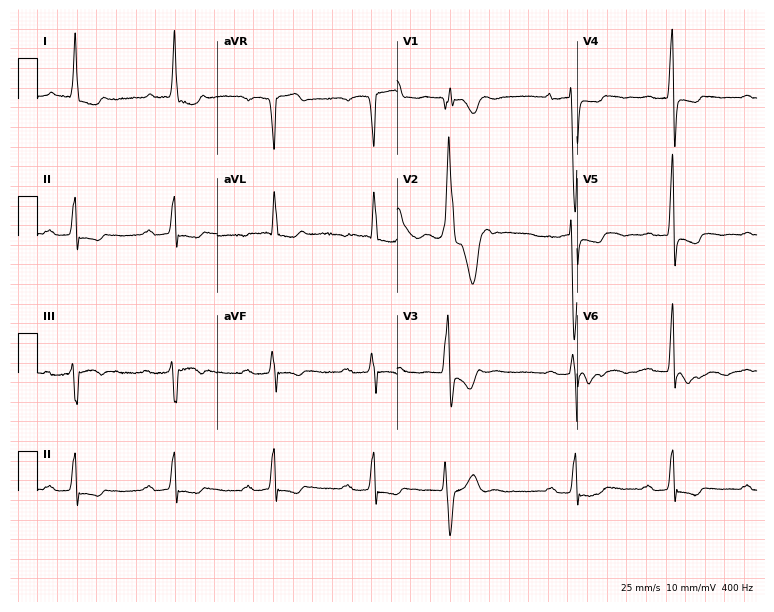
ECG — a 56-year-old woman. Findings include first-degree AV block, left bundle branch block (LBBB).